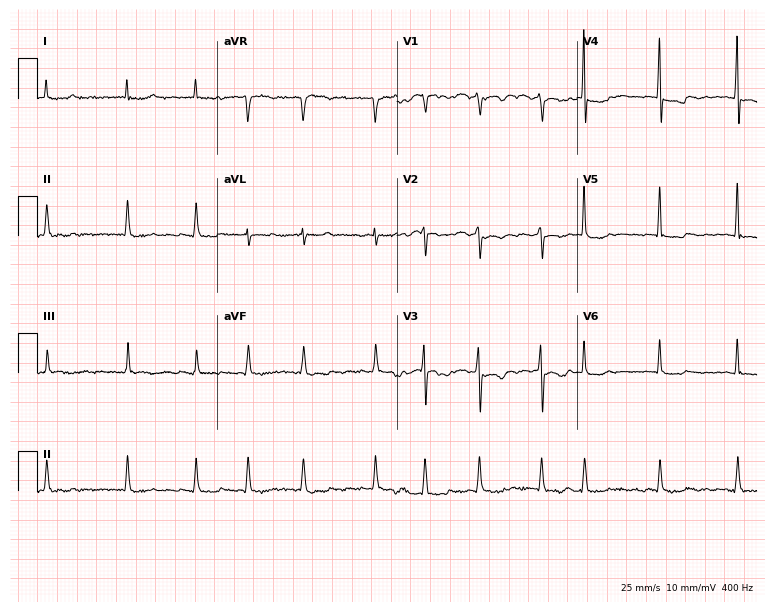
12-lead ECG from a 68-year-old female patient (7.3-second recording at 400 Hz). Shows atrial fibrillation (AF).